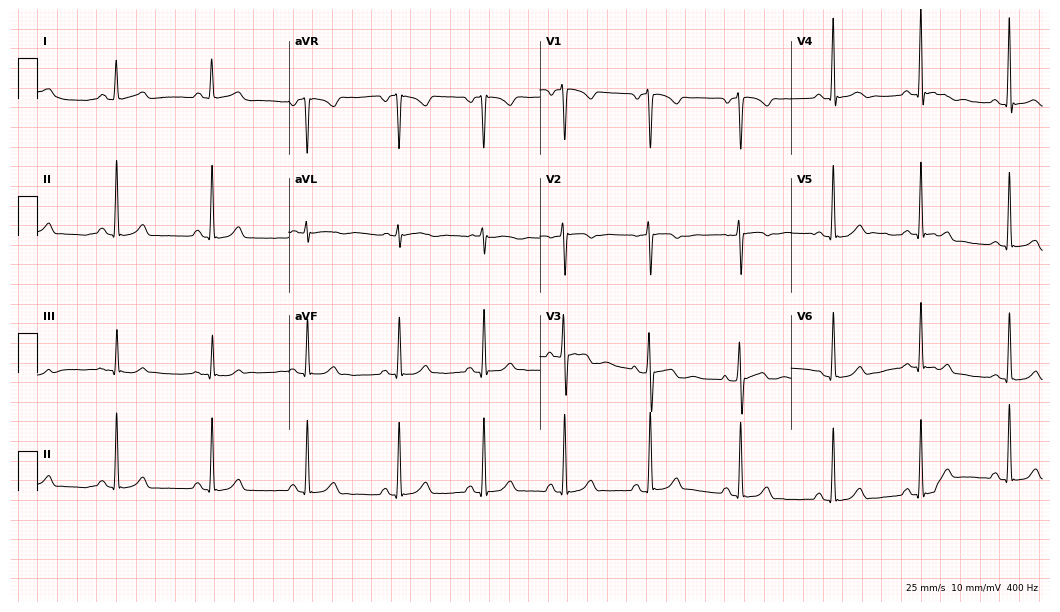
Standard 12-lead ECG recorded from a 26-year-old female (10.2-second recording at 400 Hz). None of these six findings is recorded: first-degree AV block, right bundle branch block (RBBB), left bundle branch block (LBBB), sinus bradycardia, atrial fibrillation (AF), sinus tachycardia. Other findings, if any, are not listed.